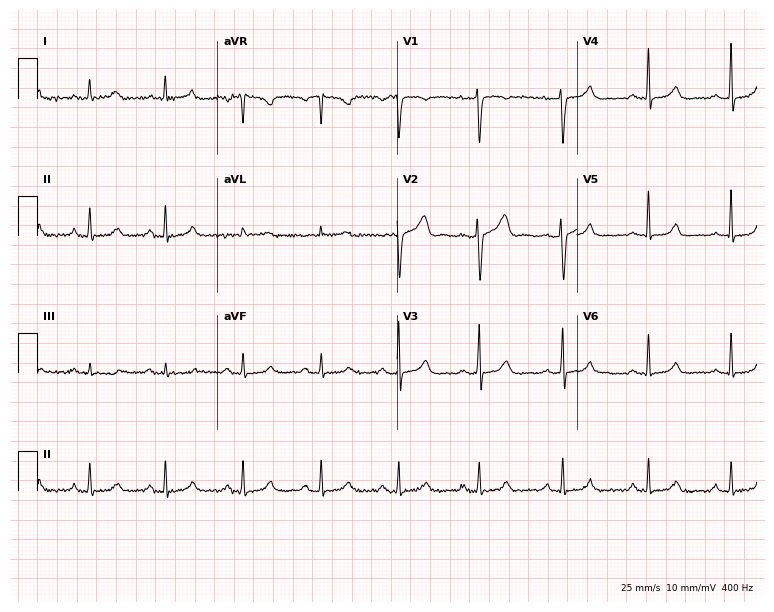
12-lead ECG from a female patient, 35 years old (7.3-second recording at 400 Hz). No first-degree AV block, right bundle branch block (RBBB), left bundle branch block (LBBB), sinus bradycardia, atrial fibrillation (AF) or sinus tachycardia recorded for this tracing. Other findings, if any, are not listed.